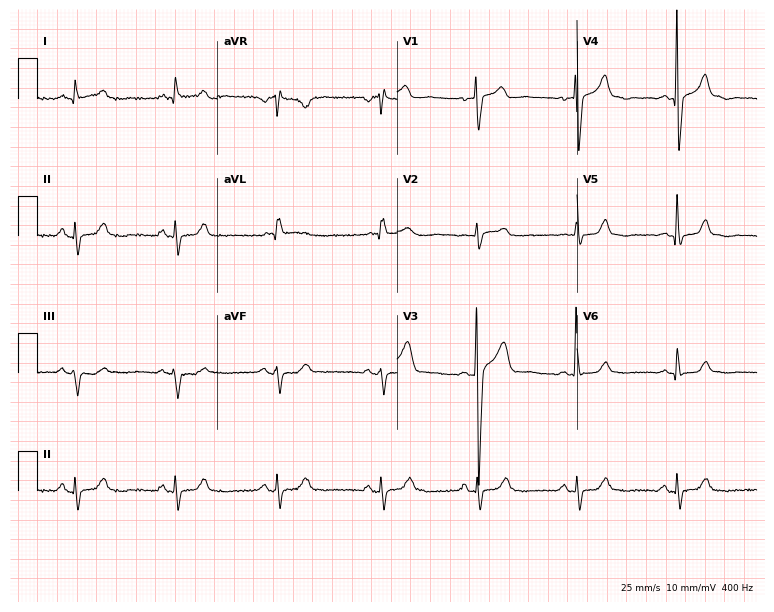
12-lead ECG from a man, 49 years old. No first-degree AV block, right bundle branch block (RBBB), left bundle branch block (LBBB), sinus bradycardia, atrial fibrillation (AF) or sinus tachycardia recorded for this tracing.